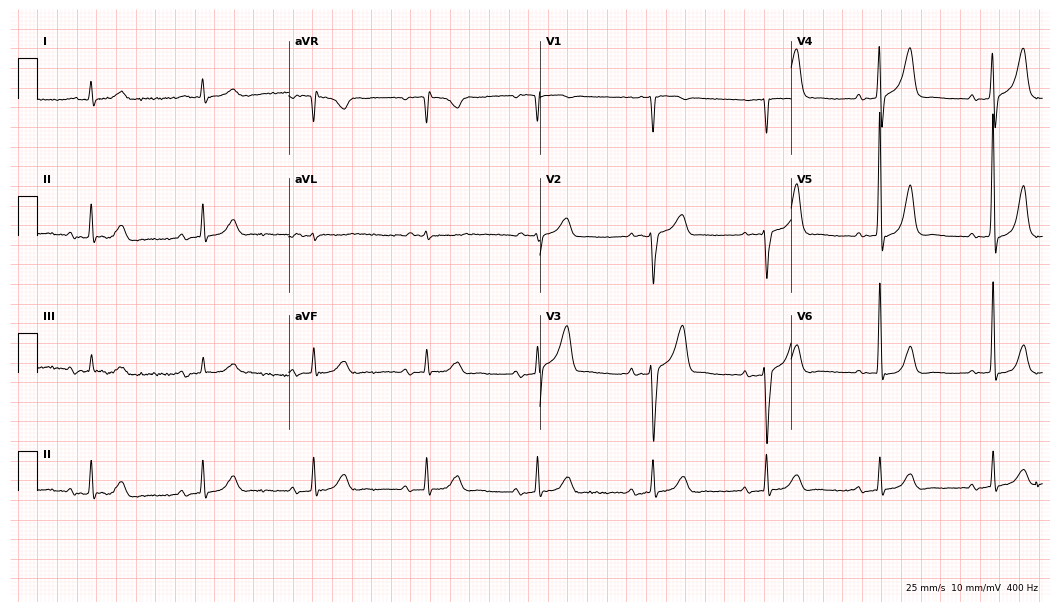
Electrocardiogram, a male patient, 85 years old. Overall reading on record: normal ECG.